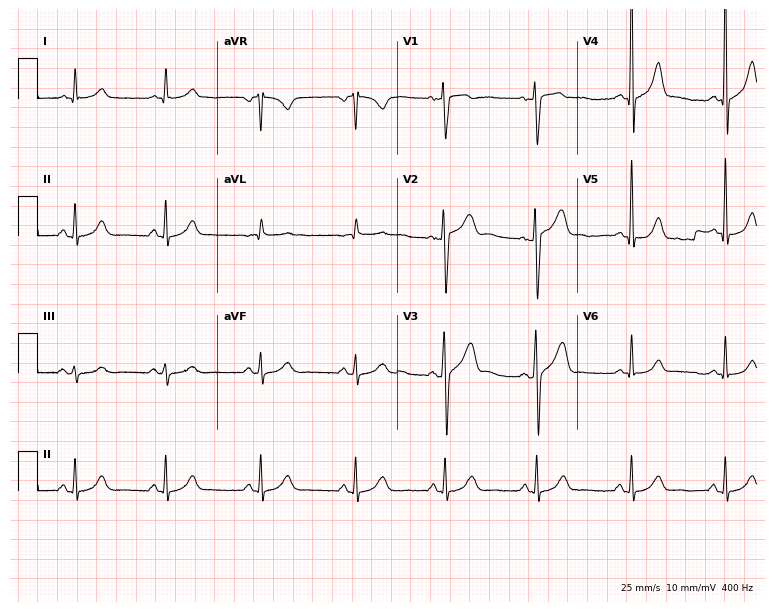
12-lead ECG (7.3-second recording at 400 Hz) from a male patient, 56 years old. Labelled as a normal ECG.